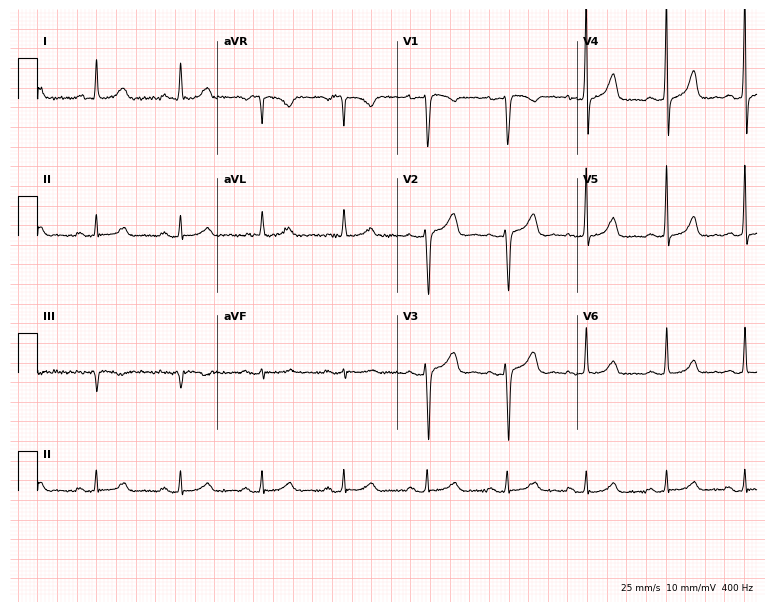
Resting 12-lead electrocardiogram (7.3-second recording at 400 Hz). Patient: a female, 37 years old. None of these six findings is recorded: first-degree AV block, right bundle branch block (RBBB), left bundle branch block (LBBB), sinus bradycardia, atrial fibrillation (AF), sinus tachycardia. Findings outside these six are not listed.